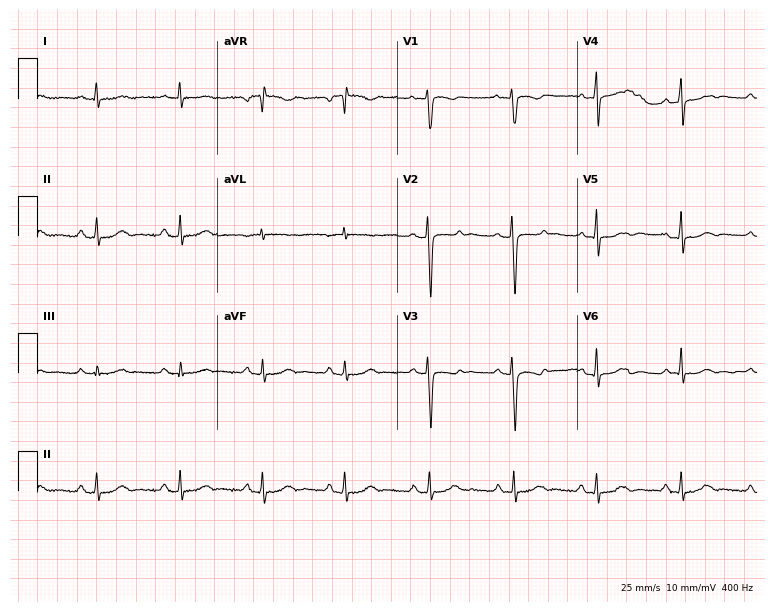
12-lead ECG from a 39-year-old woman. No first-degree AV block, right bundle branch block, left bundle branch block, sinus bradycardia, atrial fibrillation or sinus tachycardia recorded for this tracing.